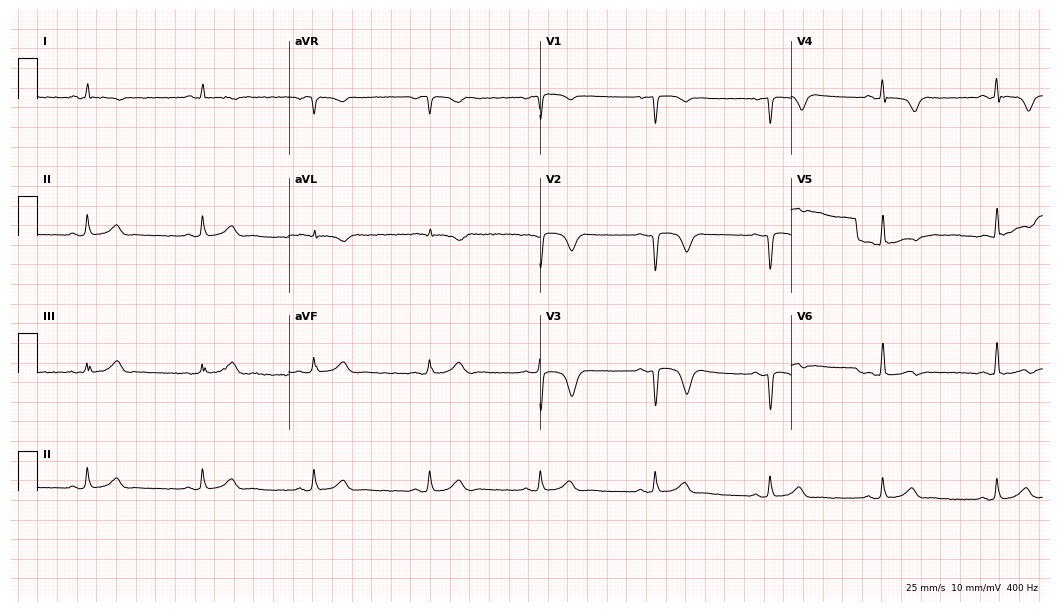
Electrocardiogram, a 48-year-old male. Of the six screened findings (first-degree AV block, right bundle branch block, left bundle branch block, sinus bradycardia, atrial fibrillation, sinus tachycardia), none is recorded.